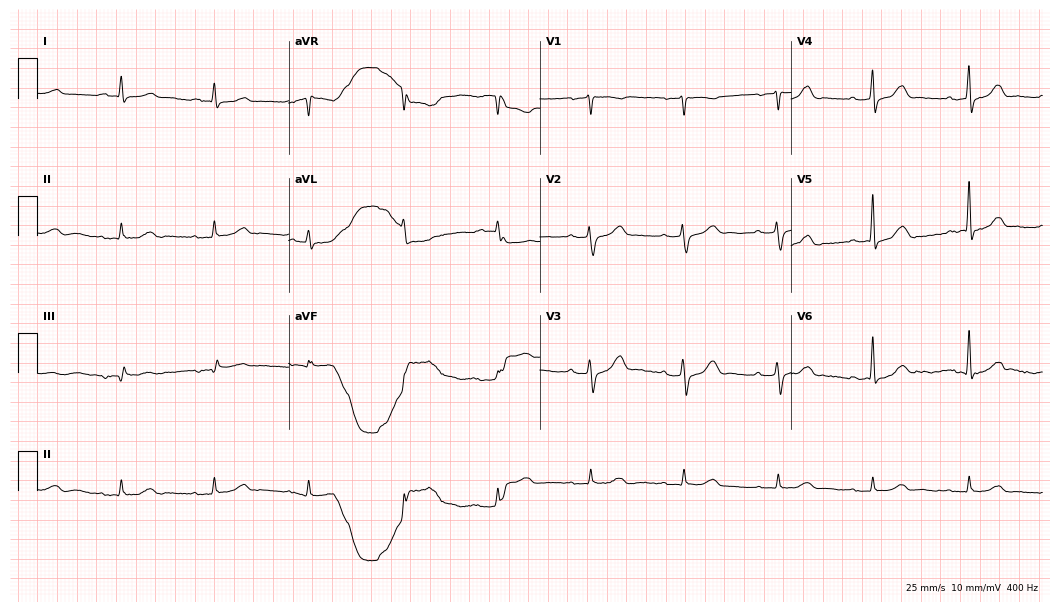
Standard 12-lead ECG recorded from a 77-year-old man. Read as a normal ECG.